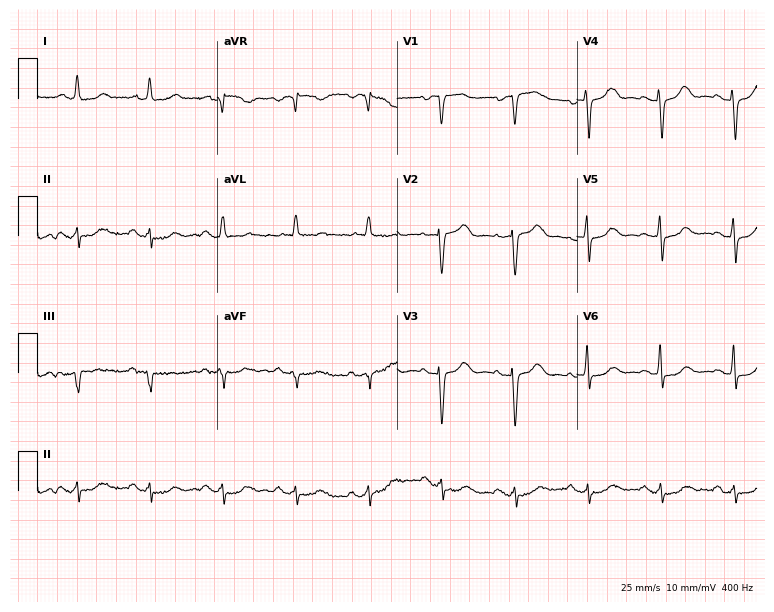
Electrocardiogram (7.3-second recording at 400 Hz), an 85-year-old female patient. Overall reading on record: normal ECG.